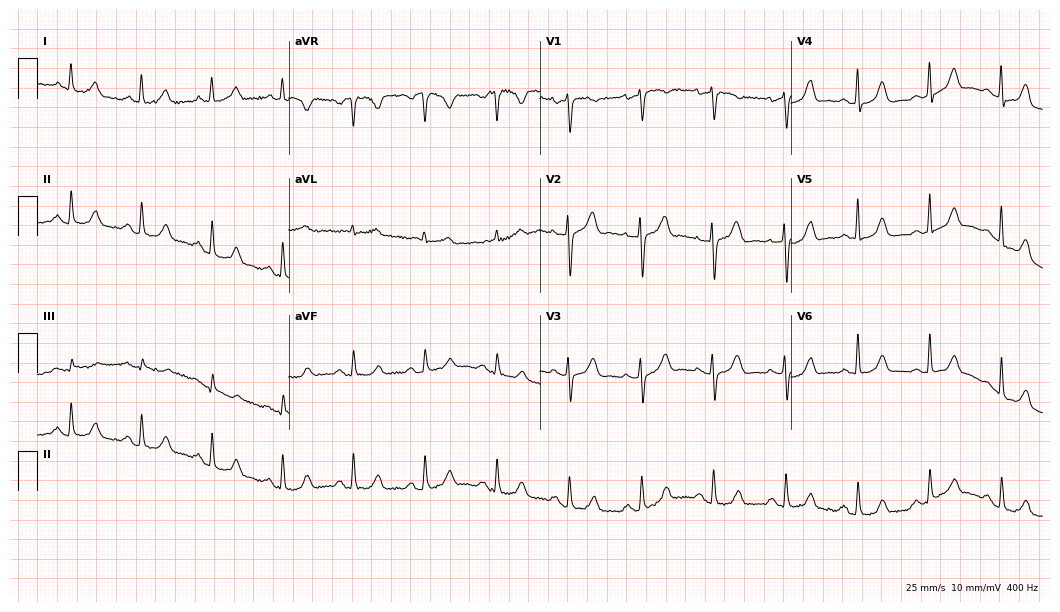
Standard 12-lead ECG recorded from a female, 53 years old. Read as a normal ECG.